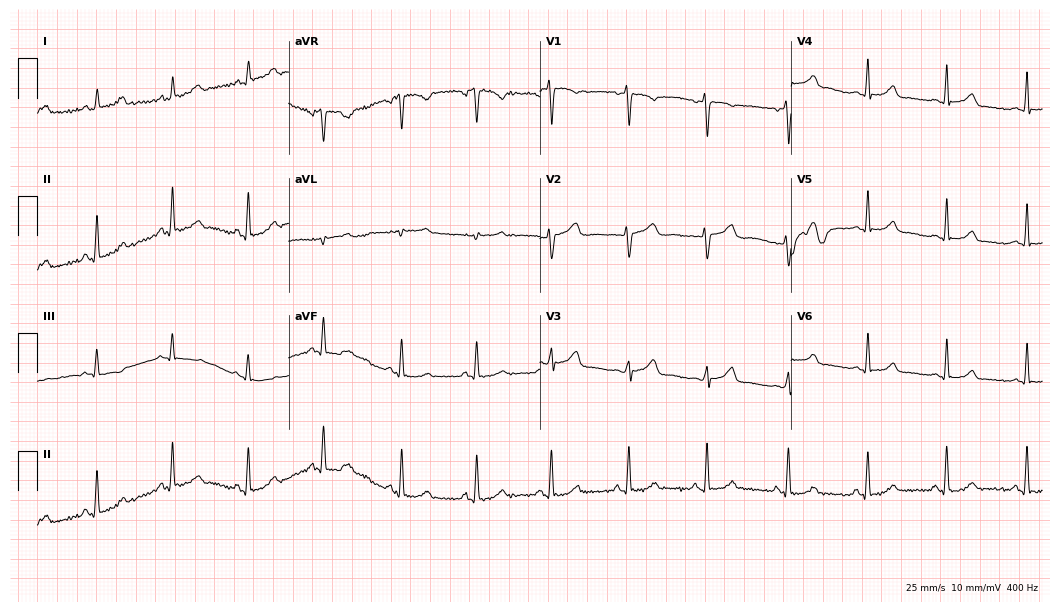
Resting 12-lead electrocardiogram (10.2-second recording at 400 Hz). Patient: a 38-year-old female. None of these six findings is recorded: first-degree AV block, right bundle branch block (RBBB), left bundle branch block (LBBB), sinus bradycardia, atrial fibrillation (AF), sinus tachycardia. Other findings, if any, are not listed.